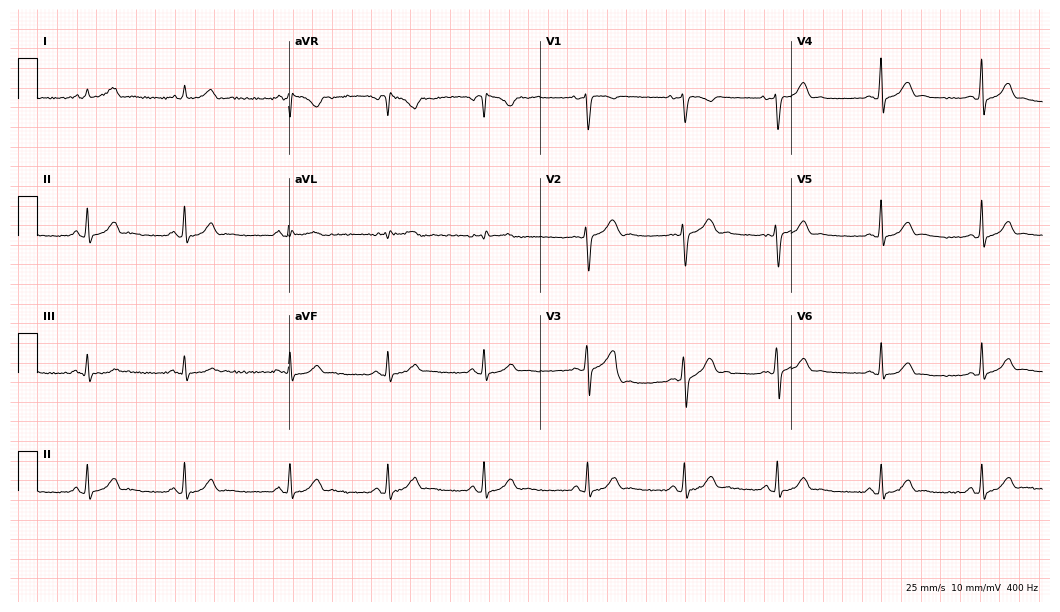
Electrocardiogram, a woman, 19 years old. Overall reading on record: normal ECG.